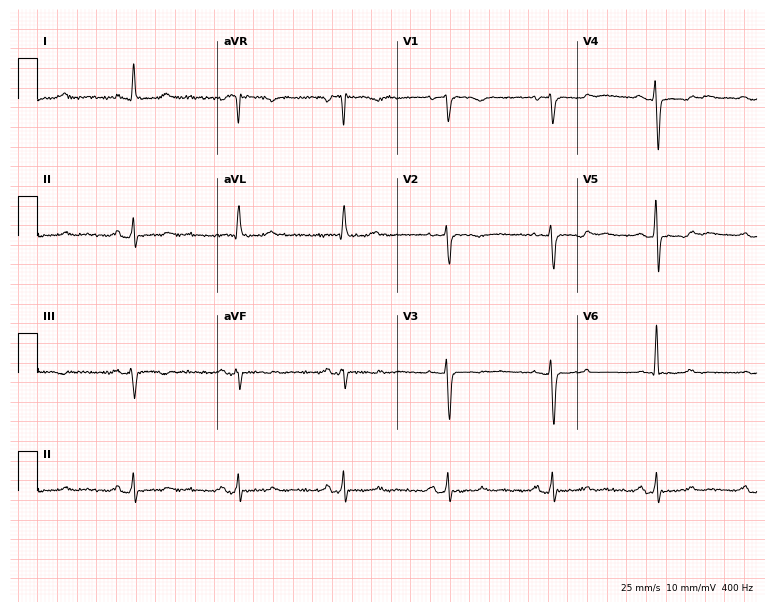
12-lead ECG from a 71-year-old female patient. No first-degree AV block, right bundle branch block, left bundle branch block, sinus bradycardia, atrial fibrillation or sinus tachycardia recorded for this tracing.